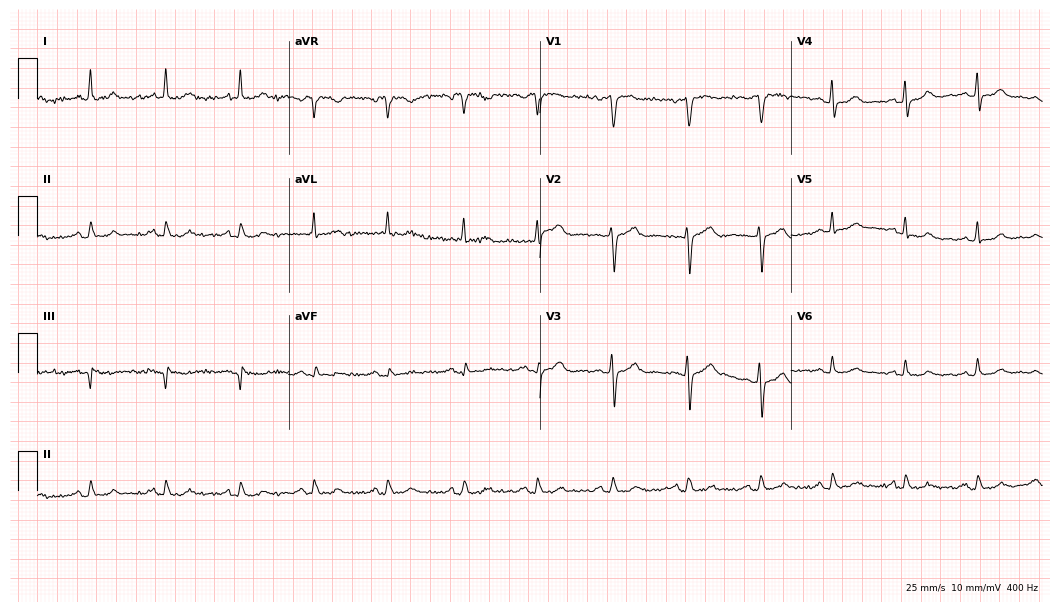
Electrocardiogram (10.2-second recording at 400 Hz), a 62-year-old woman. Overall reading on record: normal ECG.